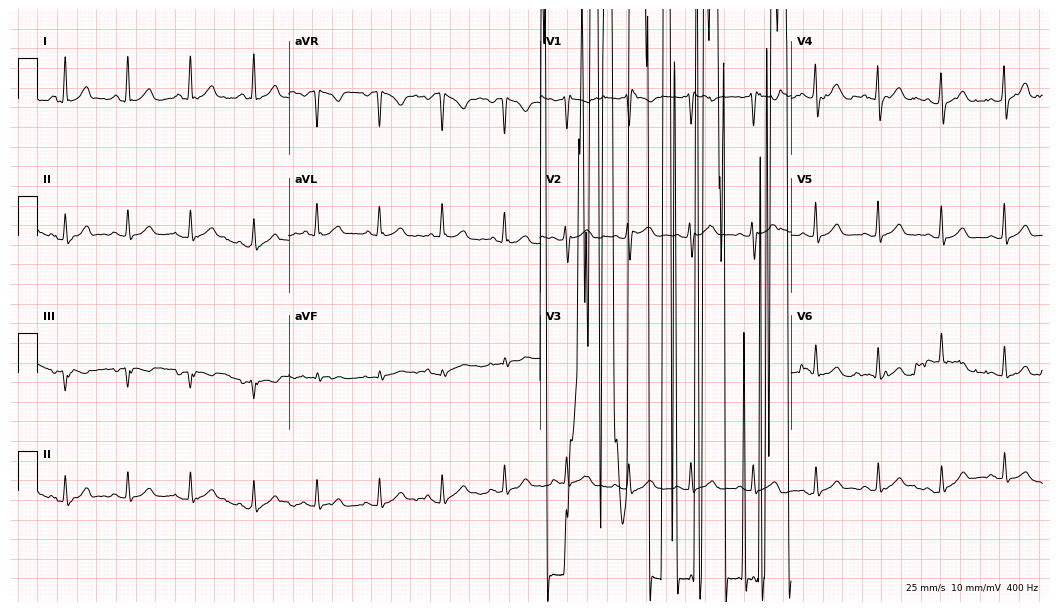
Standard 12-lead ECG recorded from a 33-year-old female (10.2-second recording at 400 Hz). None of these six findings is recorded: first-degree AV block, right bundle branch block (RBBB), left bundle branch block (LBBB), sinus bradycardia, atrial fibrillation (AF), sinus tachycardia. Other findings, if any, are not listed.